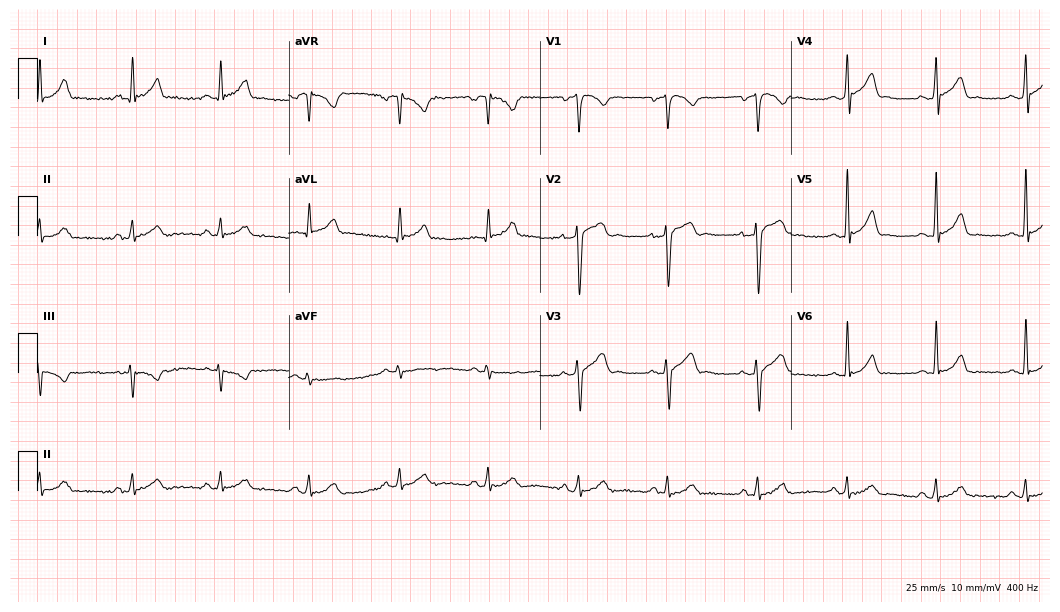
ECG — a male patient, 44 years old. Screened for six findings — first-degree AV block, right bundle branch block (RBBB), left bundle branch block (LBBB), sinus bradycardia, atrial fibrillation (AF), sinus tachycardia — none is recorded. Only these six findings were labelled.